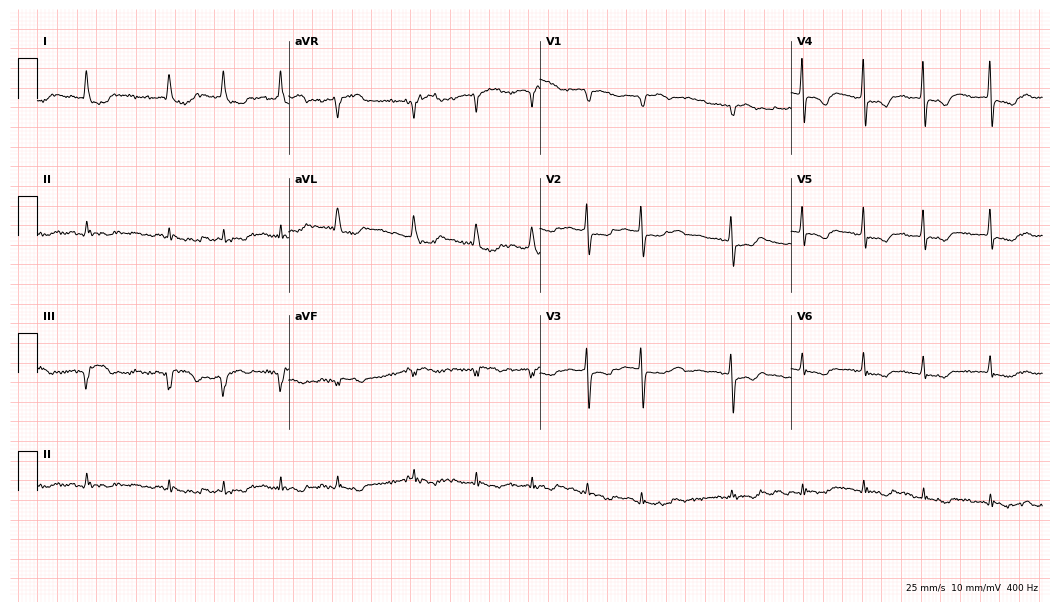
Electrocardiogram (10.2-second recording at 400 Hz), a 79-year-old female patient. Of the six screened findings (first-degree AV block, right bundle branch block (RBBB), left bundle branch block (LBBB), sinus bradycardia, atrial fibrillation (AF), sinus tachycardia), none is recorded.